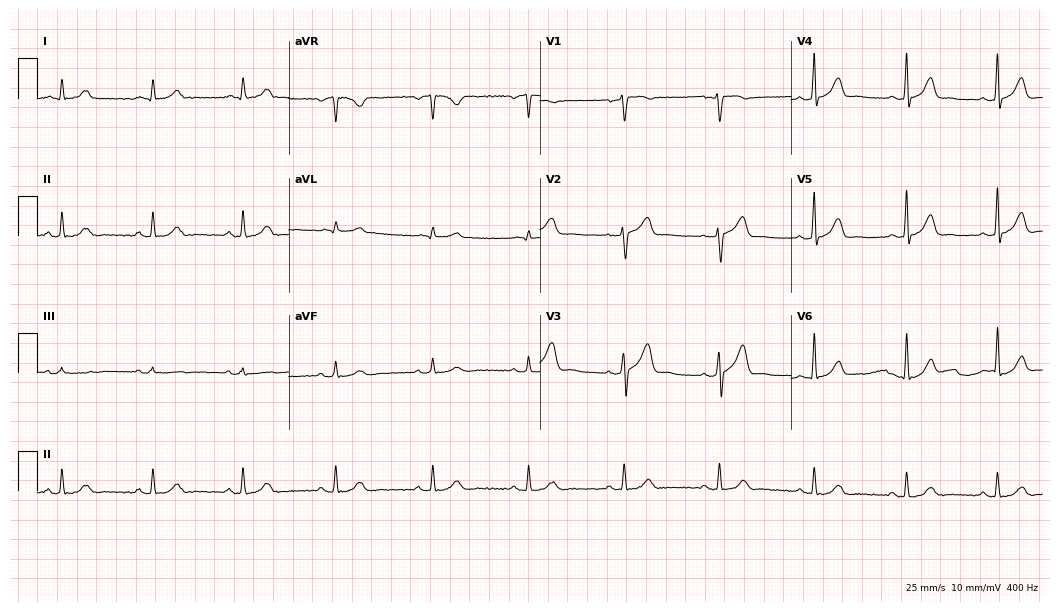
Resting 12-lead electrocardiogram (10.2-second recording at 400 Hz). Patient: a male, 51 years old. None of these six findings is recorded: first-degree AV block, right bundle branch block (RBBB), left bundle branch block (LBBB), sinus bradycardia, atrial fibrillation (AF), sinus tachycardia. Other findings, if any, are not listed.